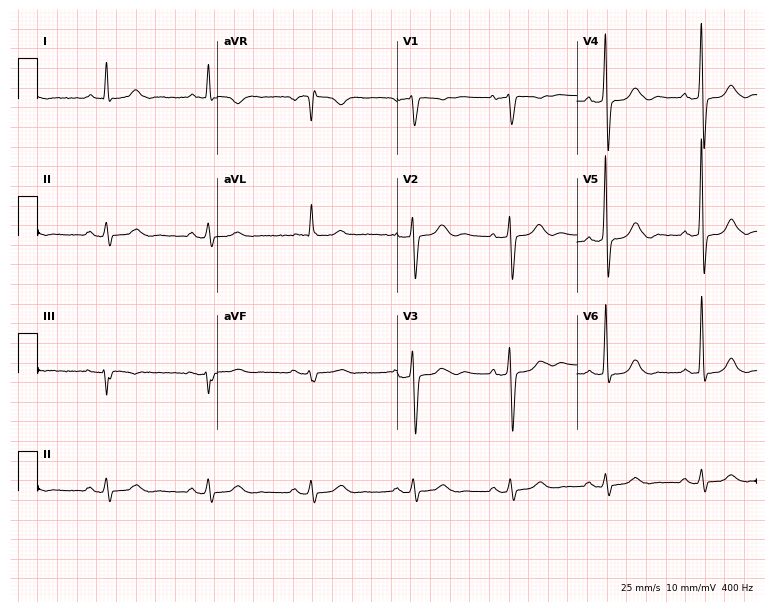
Standard 12-lead ECG recorded from a man, 79 years old. None of these six findings is recorded: first-degree AV block, right bundle branch block (RBBB), left bundle branch block (LBBB), sinus bradycardia, atrial fibrillation (AF), sinus tachycardia.